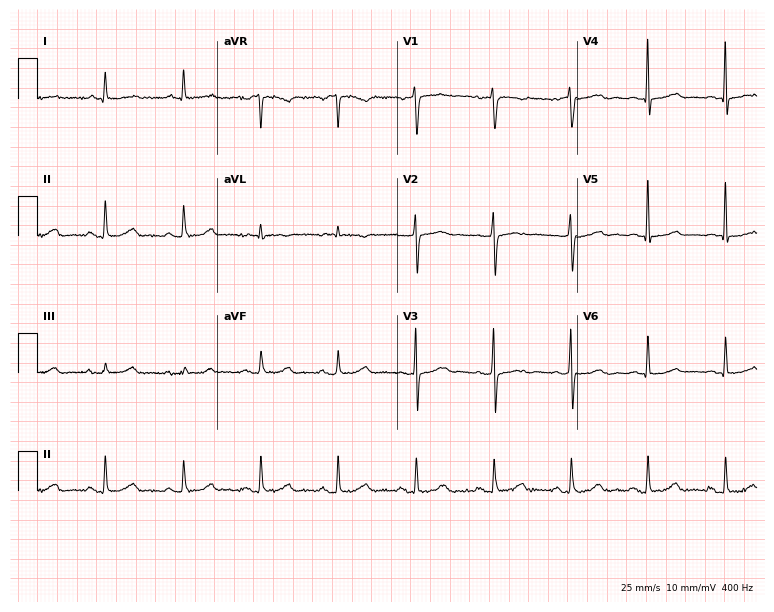
Electrocardiogram, a male patient, 79 years old. Overall reading on record: normal ECG.